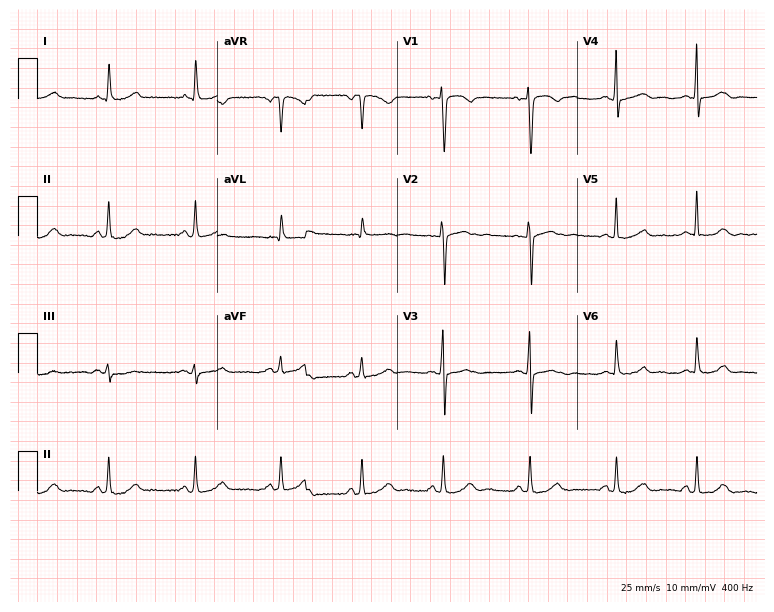
12-lead ECG (7.3-second recording at 400 Hz) from a 43-year-old female patient. Labelled as a normal ECG.